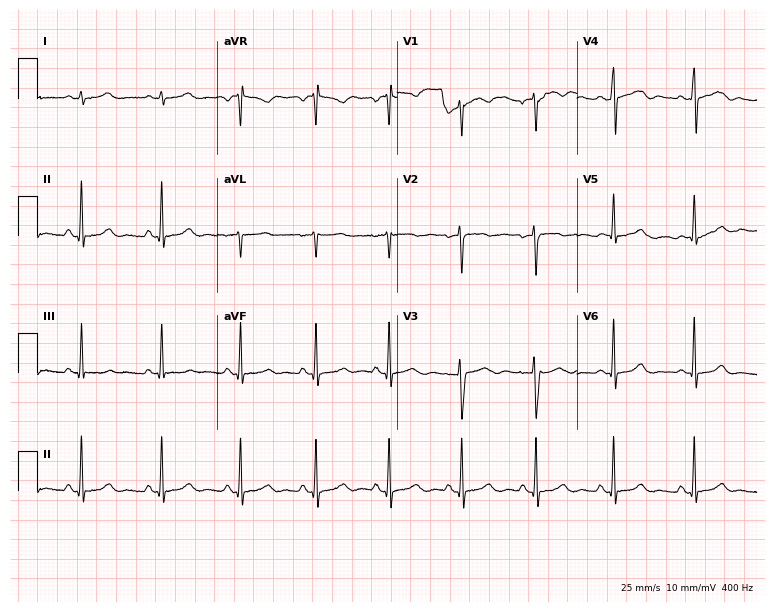
Standard 12-lead ECG recorded from a woman, 31 years old (7.3-second recording at 400 Hz). Read as a normal ECG.